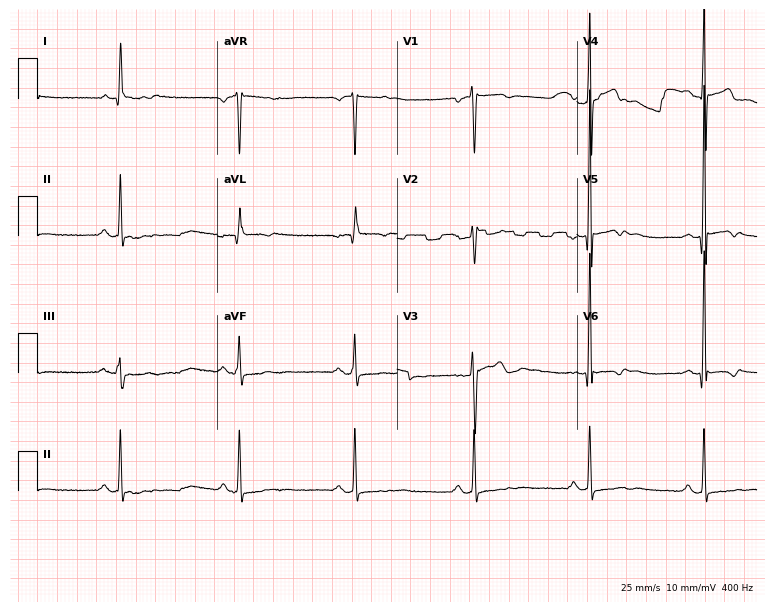
ECG — a 45-year-old male. Screened for six findings — first-degree AV block, right bundle branch block, left bundle branch block, sinus bradycardia, atrial fibrillation, sinus tachycardia — none is recorded.